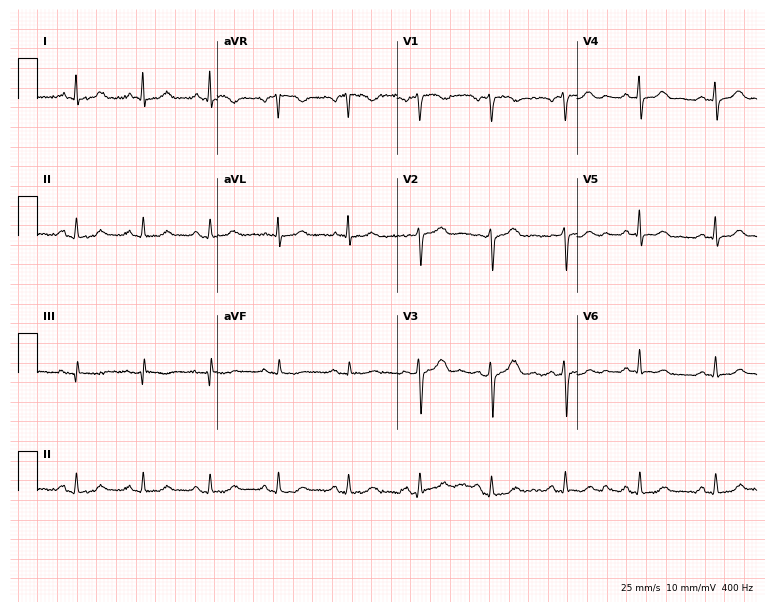
Resting 12-lead electrocardiogram. Patient: a 67-year-old male. Read as a normal ECG.